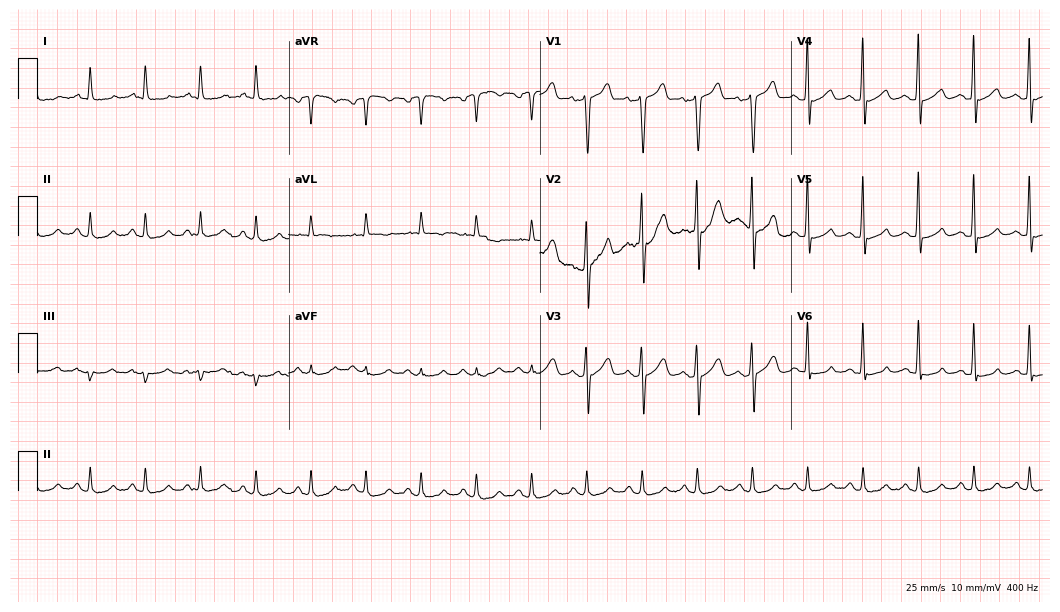
ECG — an 86-year-old male. Findings include sinus tachycardia (a sinus rate of 100 beats per minute or more).